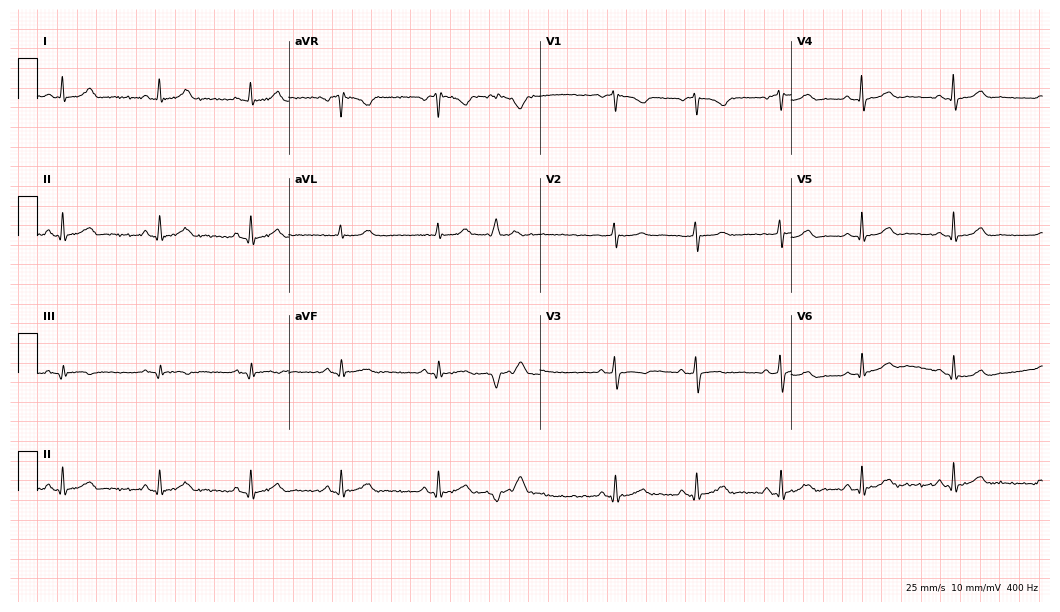
Standard 12-lead ECG recorded from a female, 37 years old (10.2-second recording at 400 Hz). None of these six findings is recorded: first-degree AV block, right bundle branch block, left bundle branch block, sinus bradycardia, atrial fibrillation, sinus tachycardia.